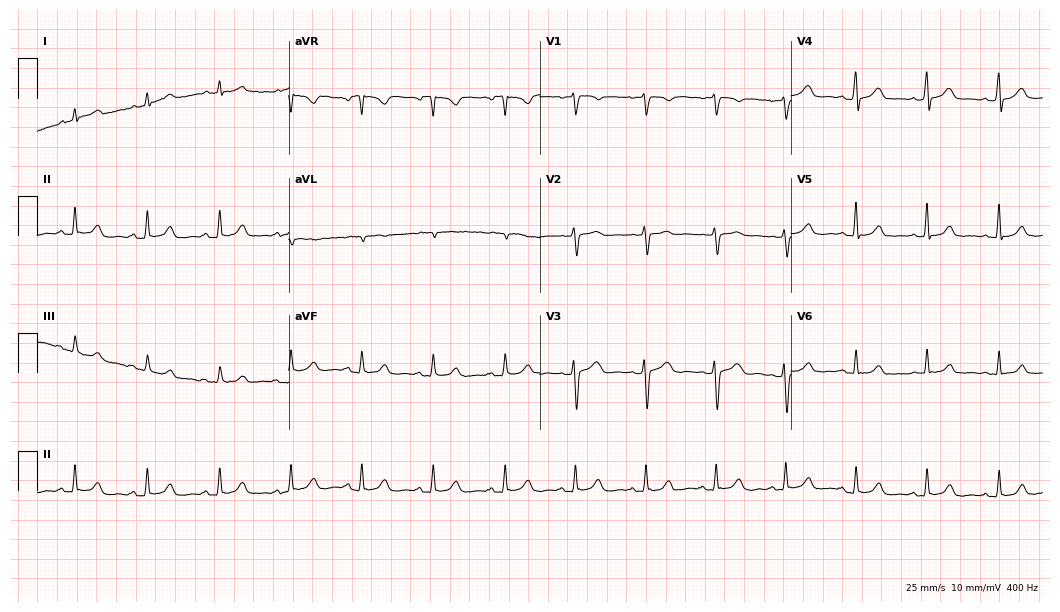
Standard 12-lead ECG recorded from a 37-year-old woman. Read as a normal ECG.